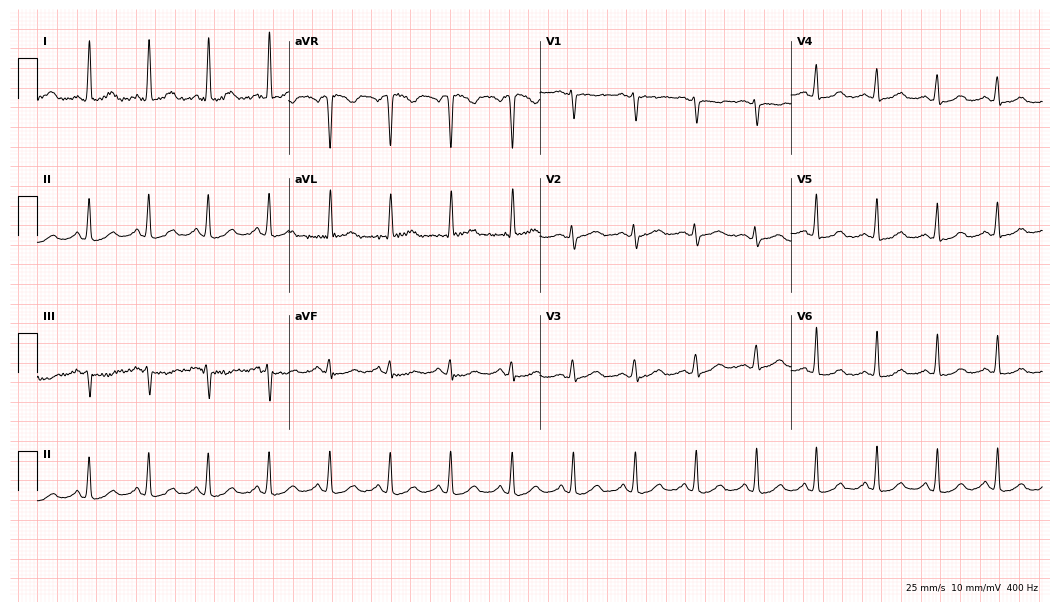
Electrocardiogram, a 65-year-old female patient. Of the six screened findings (first-degree AV block, right bundle branch block, left bundle branch block, sinus bradycardia, atrial fibrillation, sinus tachycardia), none is recorded.